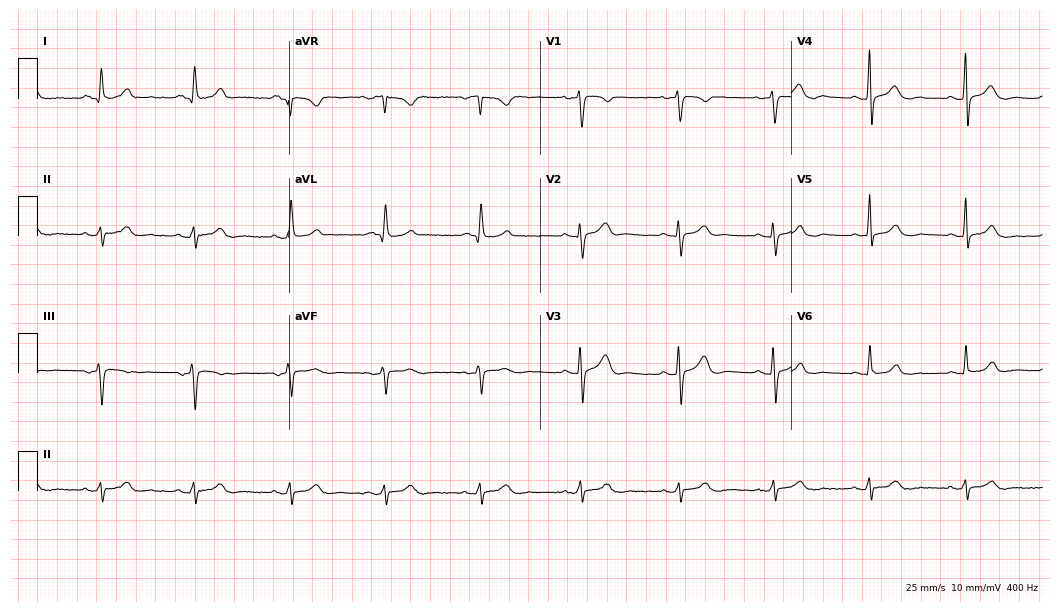
Resting 12-lead electrocardiogram. Patient: a female, 50 years old. None of these six findings is recorded: first-degree AV block, right bundle branch block, left bundle branch block, sinus bradycardia, atrial fibrillation, sinus tachycardia.